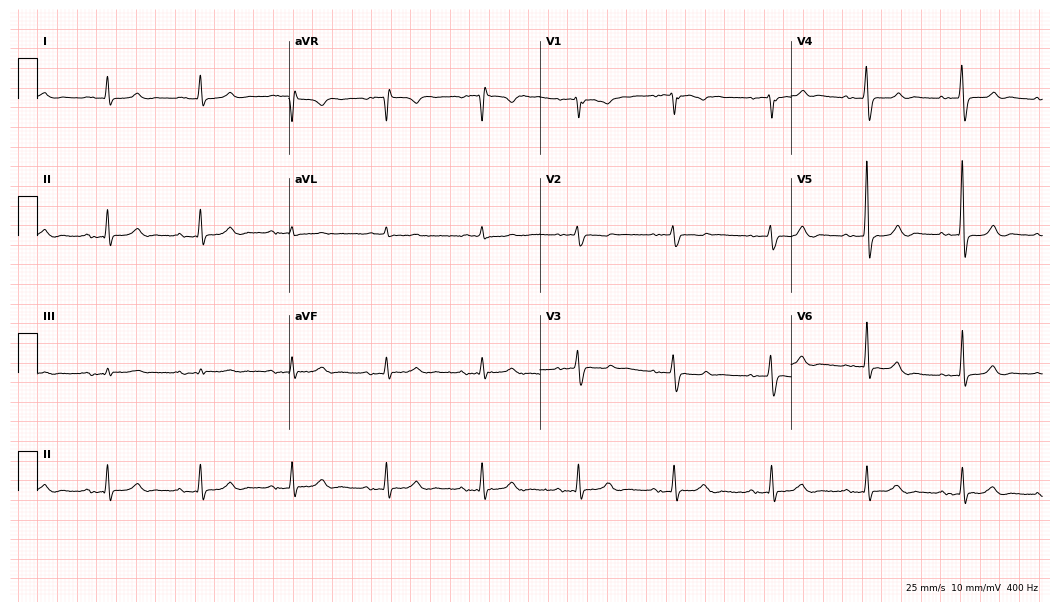
Electrocardiogram, a male, 74 years old. Interpretation includes first-degree AV block.